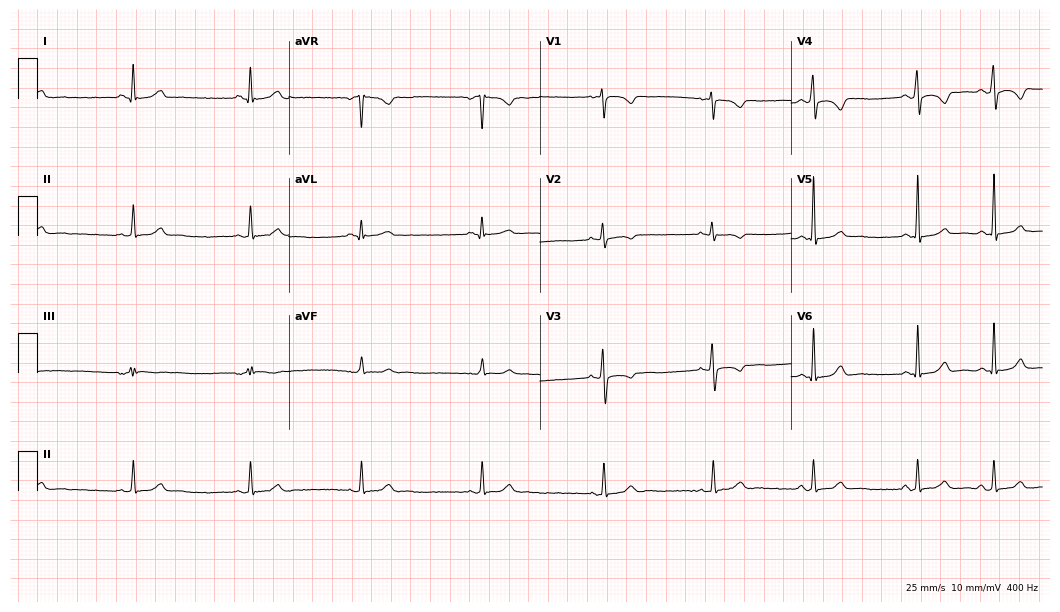
12-lead ECG from a woman, 25 years old. Labelled as a normal ECG.